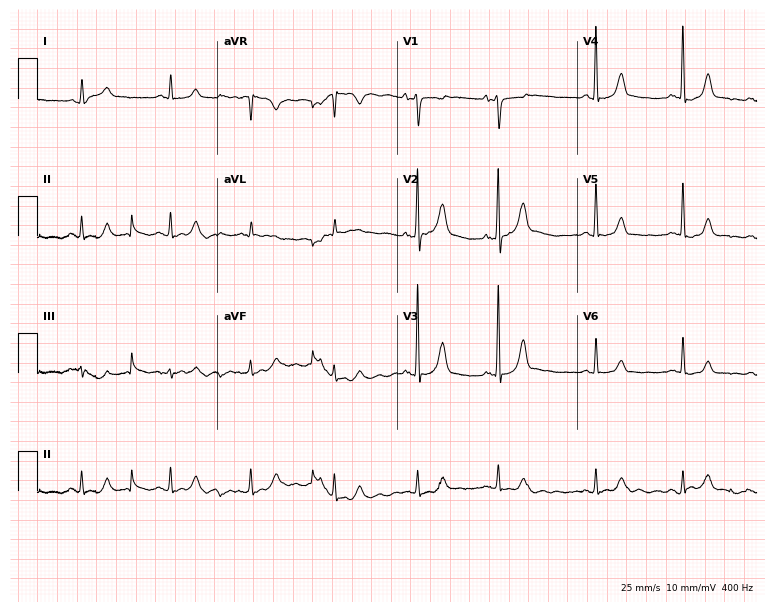
12-lead ECG from a 77-year-old man. Screened for six findings — first-degree AV block, right bundle branch block, left bundle branch block, sinus bradycardia, atrial fibrillation, sinus tachycardia — none is recorded. Only these six findings were labelled.